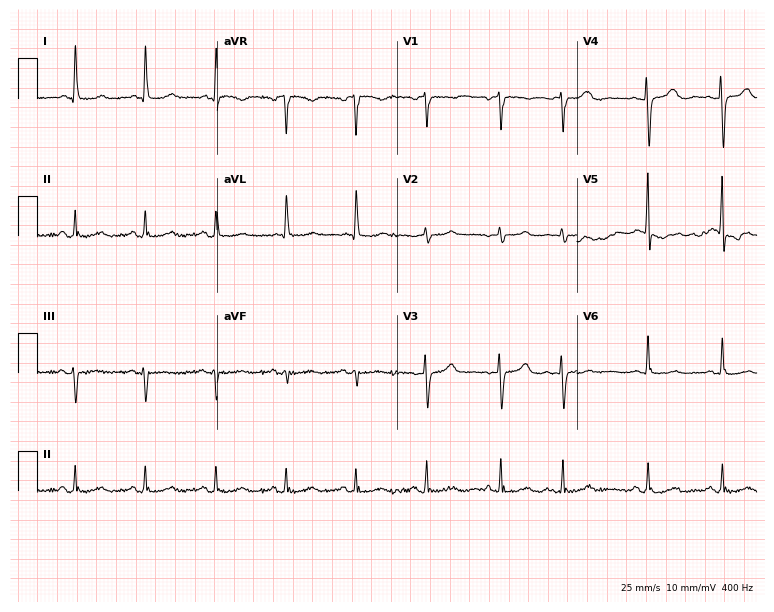
Standard 12-lead ECG recorded from a female patient, 72 years old. None of these six findings is recorded: first-degree AV block, right bundle branch block (RBBB), left bundle branch block (LBBB), sinus bradycardia, atrial fibrillation (AF), sinus tachycardia.